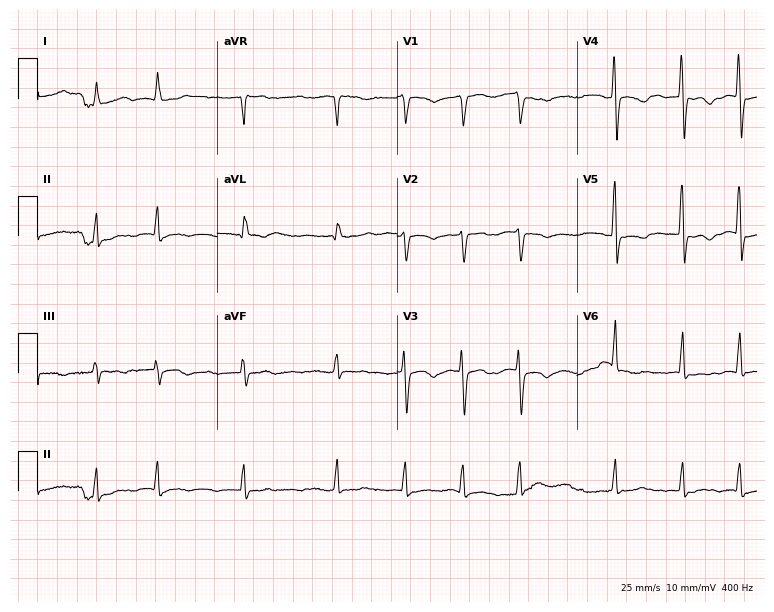
Standard 12-lead ECG recorded from a 74-year-old female patient. The tracing shows atrial fibrillation.